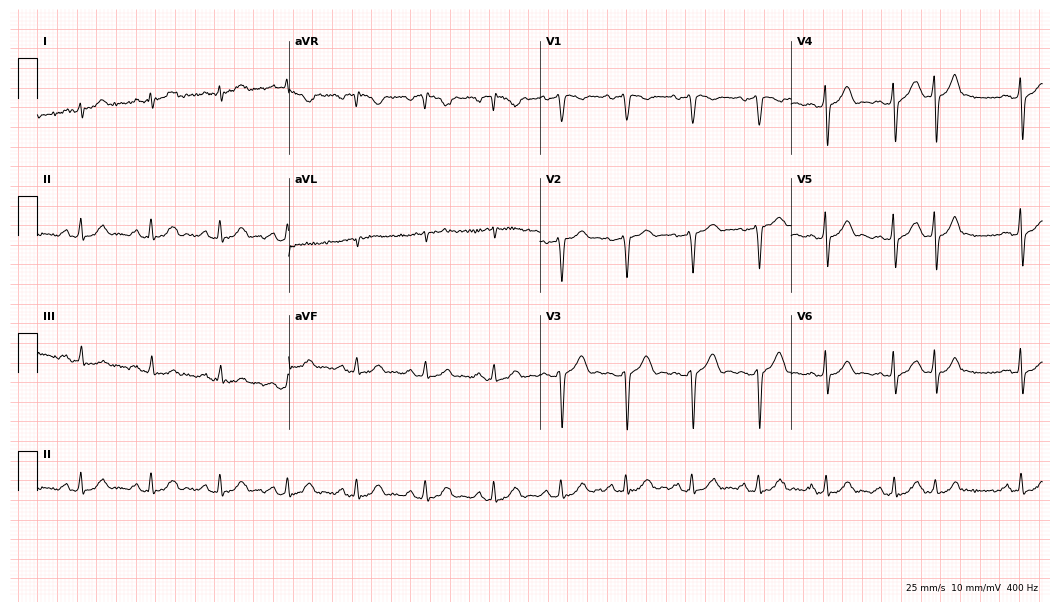
Standard 12-lead ECG recorded from a man, 56 years old. None of these six findings is recorded: first-degree AV block, right bundle branch block, left bundle branch block, sinus bradycardia, atrial fibrillation, sinus tachycardia.